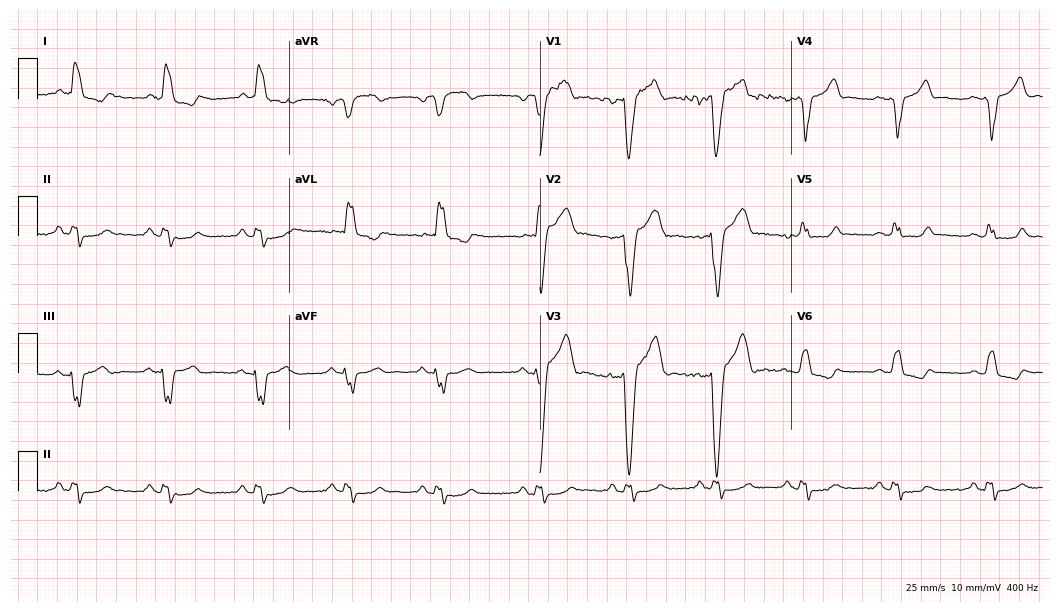
ECG (10.2-second recording at 400 Hz) — a man, 40 years old. Findings include left bundle branch block (LBBB).